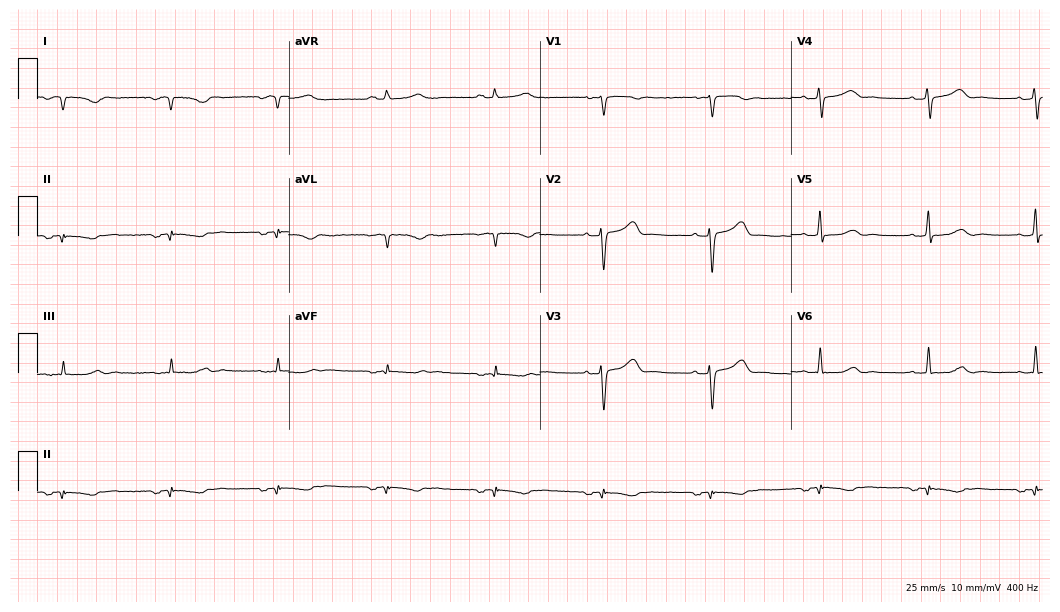
Resting 12-lead electrocardiogram. Patient: a 60-year-old female. None of these six findings is recorded: first-degree AV block, right bundle branch block, left bundle branch block, sinus bradycardia, atrial fibrillation, sinus tachycardia.